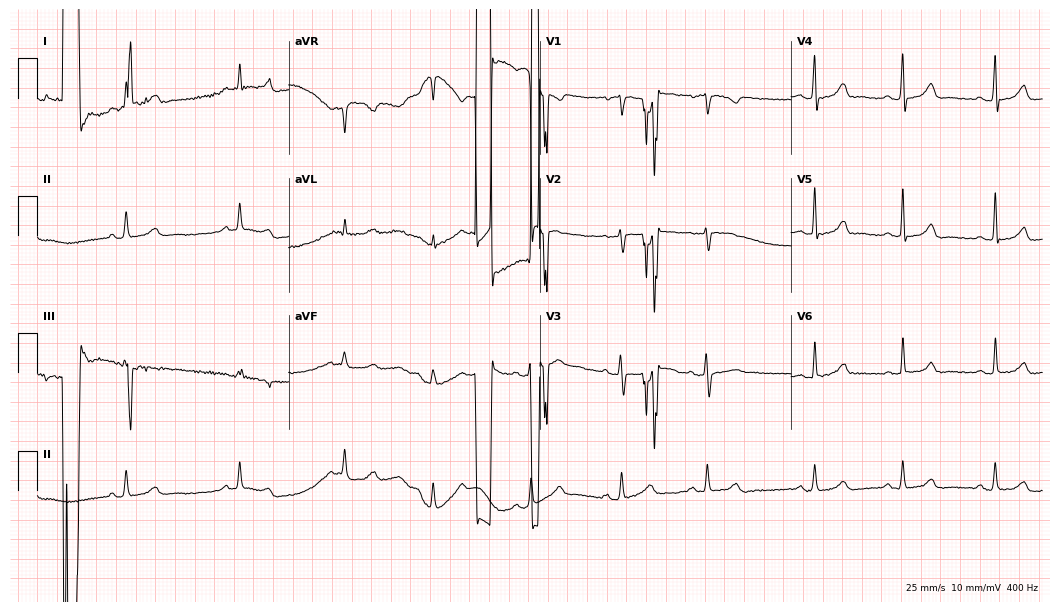
Electrocardiogram, a 30-year-old woman. Of the six screened findings (first-degree AV block, right bundle branch block (RBBB), left bundle branch block (LBBB), sinus bradycardia, atrial fibrillation (AF), sinus tachycardia), none is recorded.